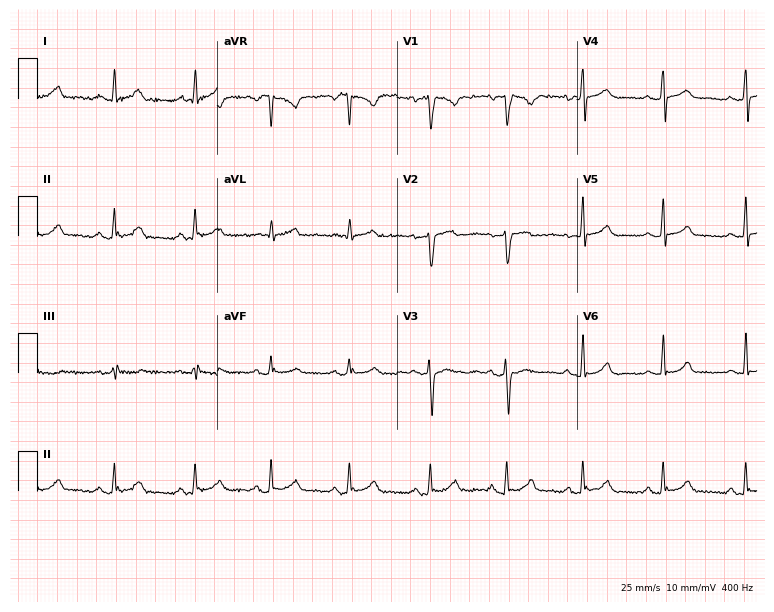
Electrocardiogram (7.3-second recording at 400 Hz), a 27-year-old female patient. Of the six screened findings (first-degree AV block, right bundle branch block (RBBB), left bundle branch block (LBBB), sinus bradycardia, atrial fibrillation (AF), sinus tachycardia), none is recorded.